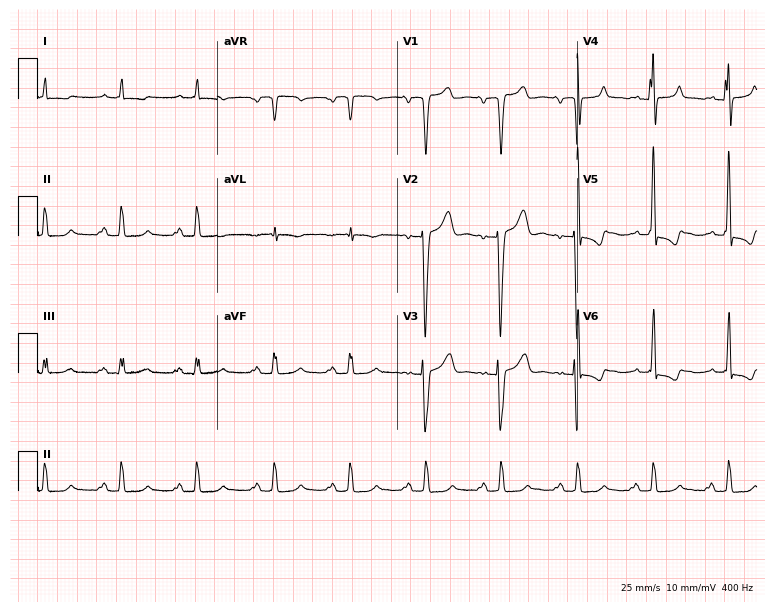
Electrocardiogram, a male, 54 years old. Interpretation includes first-degree AV block.